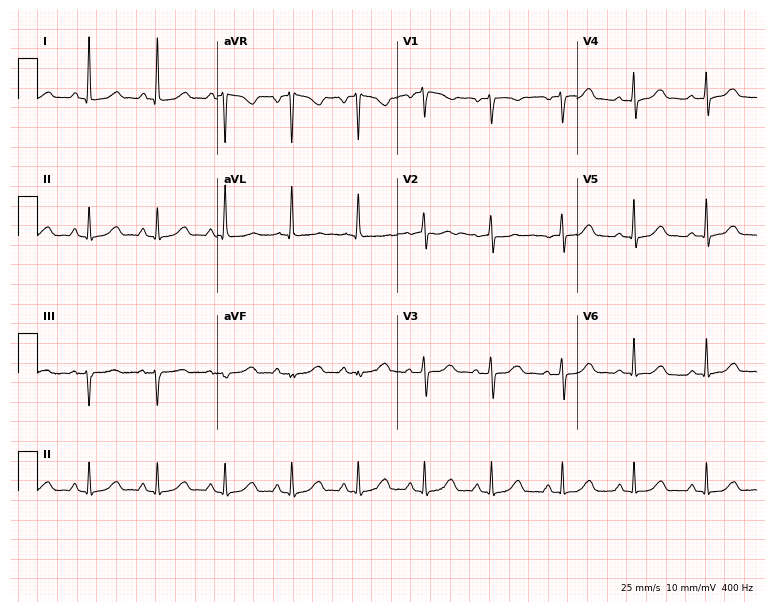
Standard 12-lead ECG recorded from a woman, 44 years old. Read as a normal ECG.